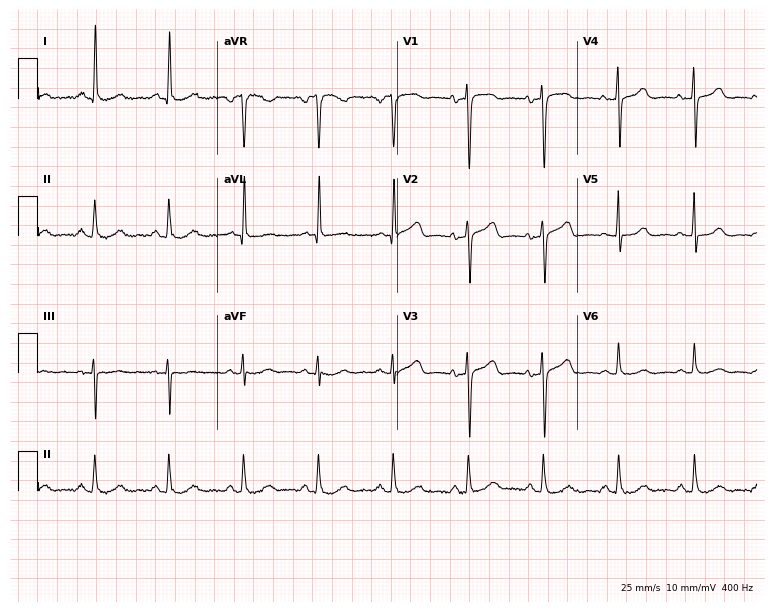
Standard 12-lead ECG recorded from a 56-year-old female patient. None of these six findings is recorded: first-degree AV block, right bundle branch block, left bundle branch block, sinus bradycardia, atrial fibrillation, sinus tachycardia.